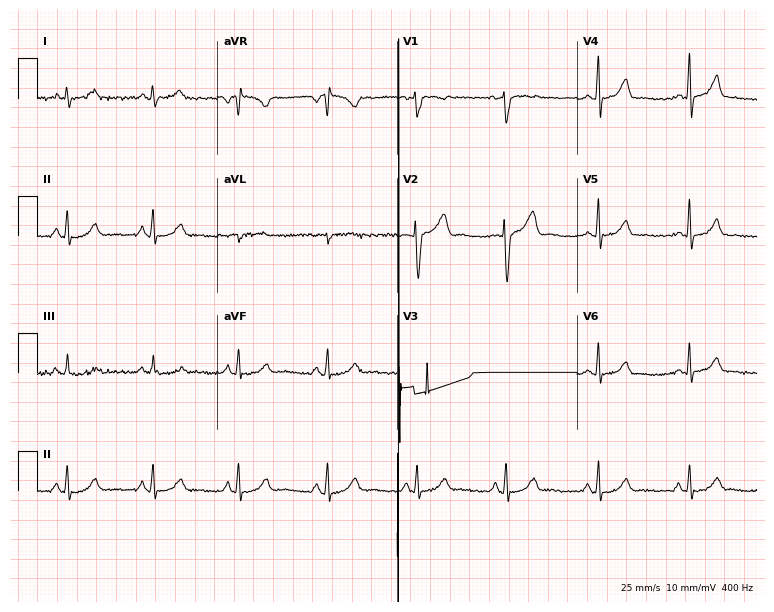
Standard 12-lead ECG recorded from a female, 30 years old (7.3-second recording at 400 Hz). None of these six findings is recorded: first-degree AV block, right bundle branch block, left bundle branch block, sinus bradycardia, atrial fibrillation, sinus tachycardia. Findings outside these six are not listed.